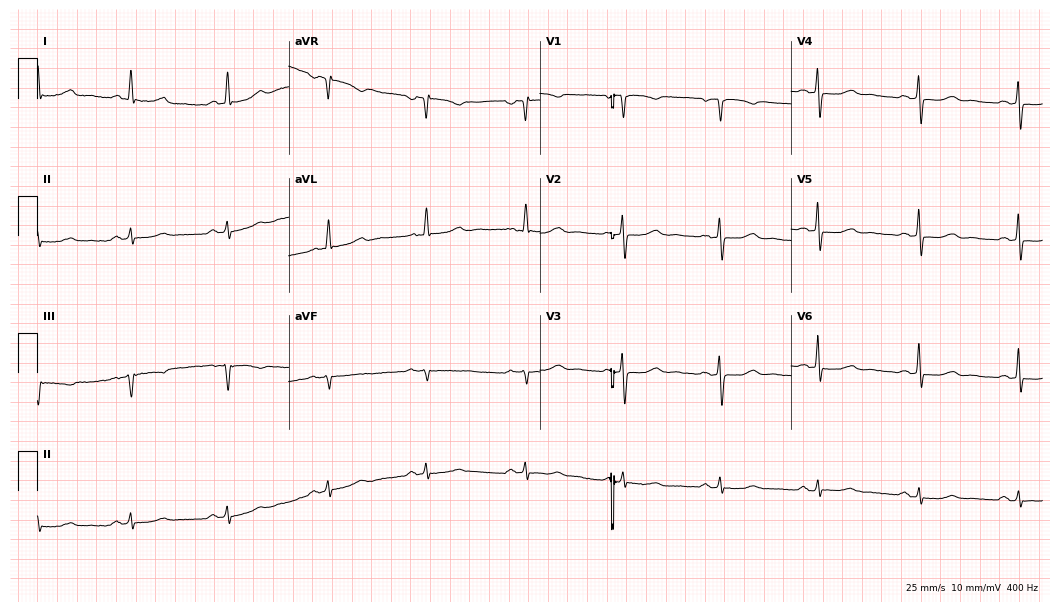
Resting 12-lead electrocardiogram (10.2-second recording at 400 Hz). Patient: a 63-year-old female. Read as a normal ECG.